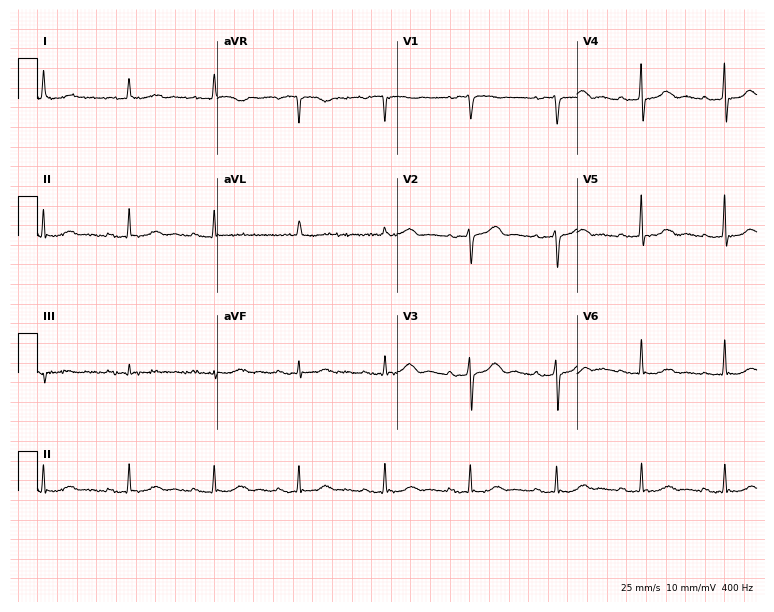
Standard 12-lead ECG recorded from a female, 78 years old. Read as a normal ECG.